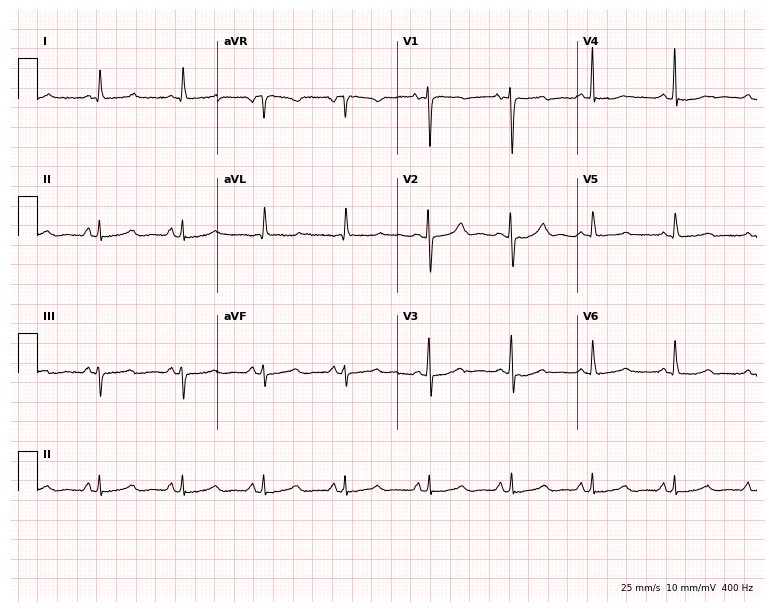
Standard 12-lead ECG recorded from a female patient, 50 years old. Read as a normal ECG.